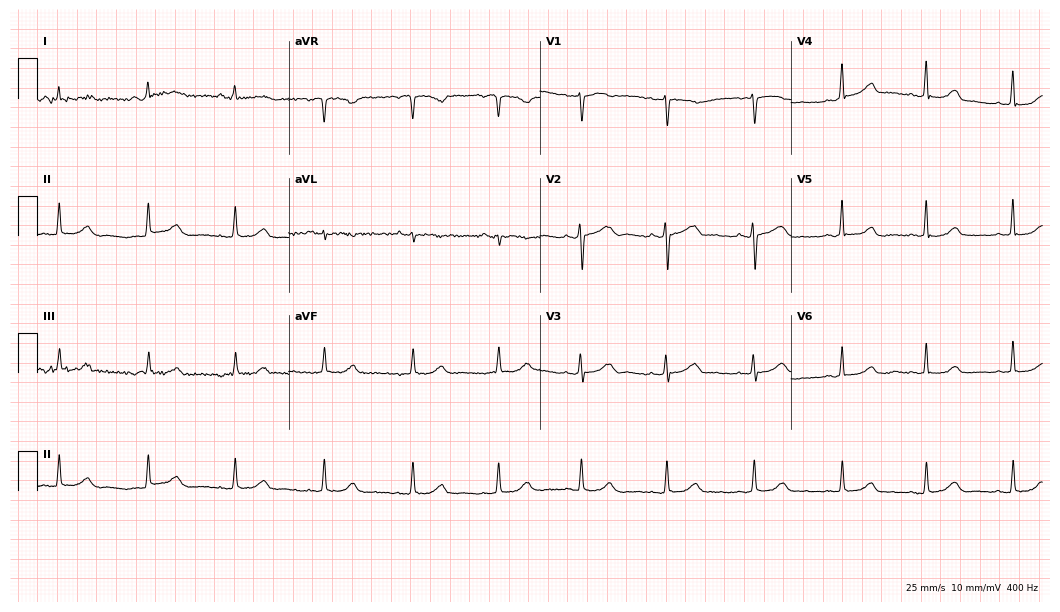
ECG (10.2-second recording at 400 Hz) — a 36-year-old female. Labelled as a normal ECG.